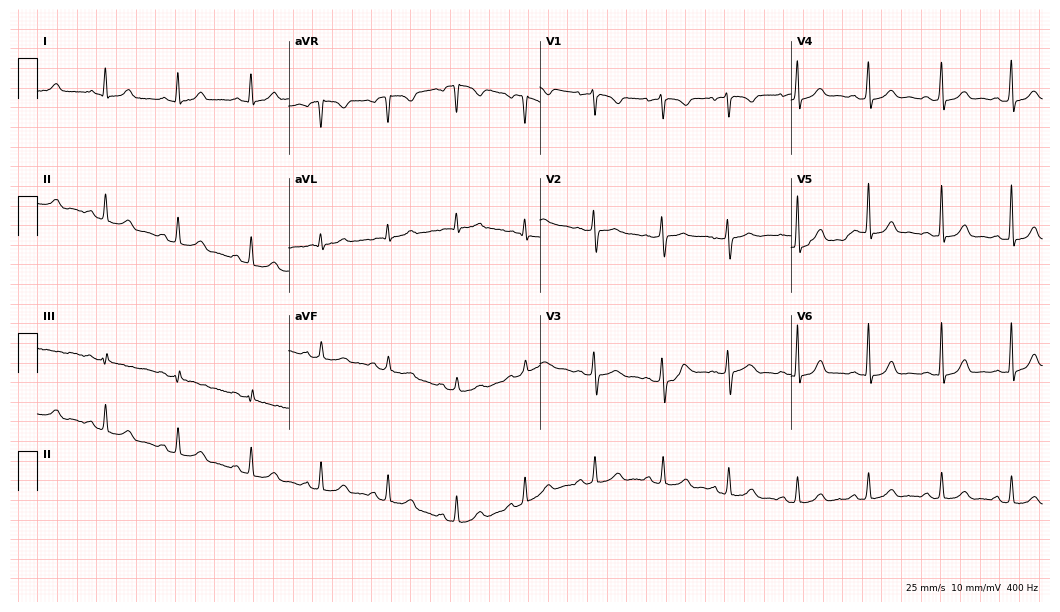
12-lead ECG from a 37-year-old female. No first-degree AV block, right bundle branch block (RBBB), left bundle branch block (LBBB), sinus bradycardia, atrial fibrillation (AF) or sinus tachycardia recorded for this tracing. Findings outside these six are not listed.